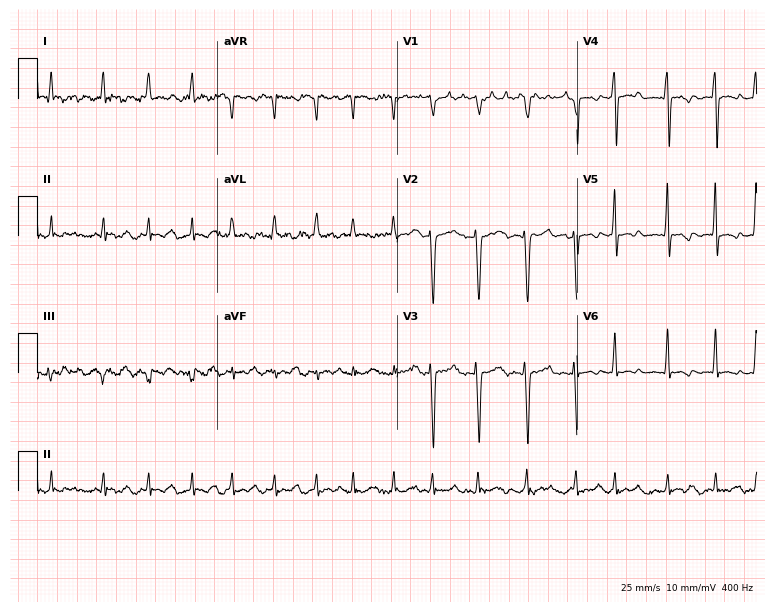
Resting 12-lead electrocardiogram. Patient: a male, 41 years old. None of these six findings is recorded: first-degree AV block, right bundle branch block, left bundle branch block, sinus bradycardia, atrial fibrillation, sinus tachycardia. Other findings, if any, are not listed.